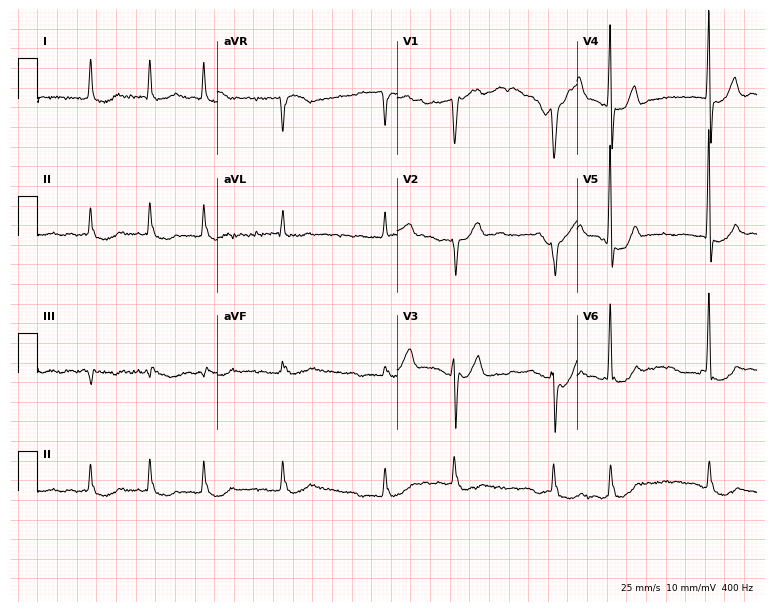
12-lead ECG from a male, 76 years old. No first-degree AV block, right bundle branch block, left bundle branch block, sinus bradycardia, atrial fibrillation or sinus tachycardia recorded for this tracing.